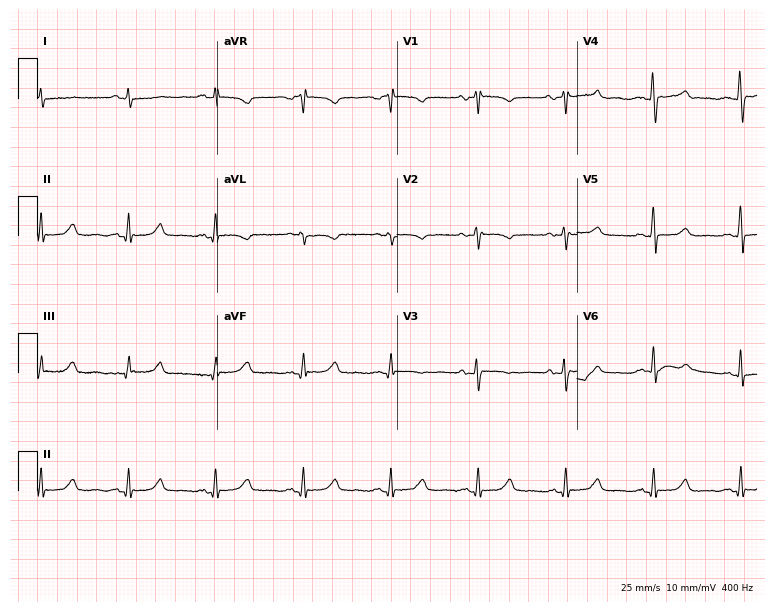
12-lead ECG from a 32-year-old female patient. Labelled as a normal ECG.